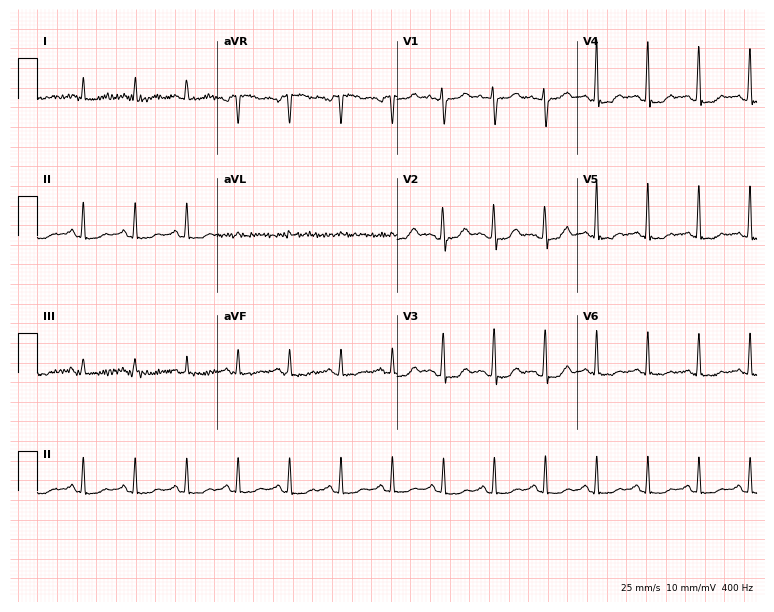
Resting 12-lead electrocardiogram. Patient: a 38-year-old female. The tracing shows sinus tachycardia (a sinus rate of 100 beats per minute or more).